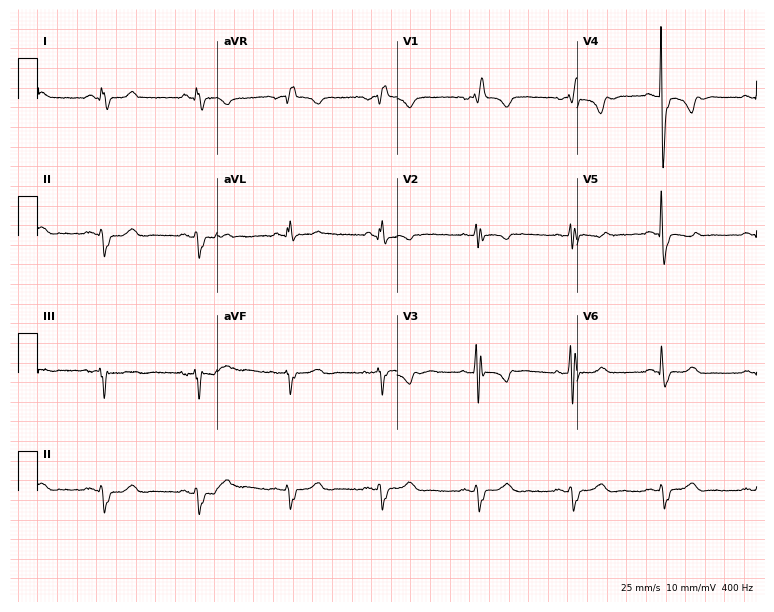
Standard 12-lead ECG recorded from a 56-year-old female patient (7.3-second recording at 400 Hz). The tracing shows right bundle branch block.